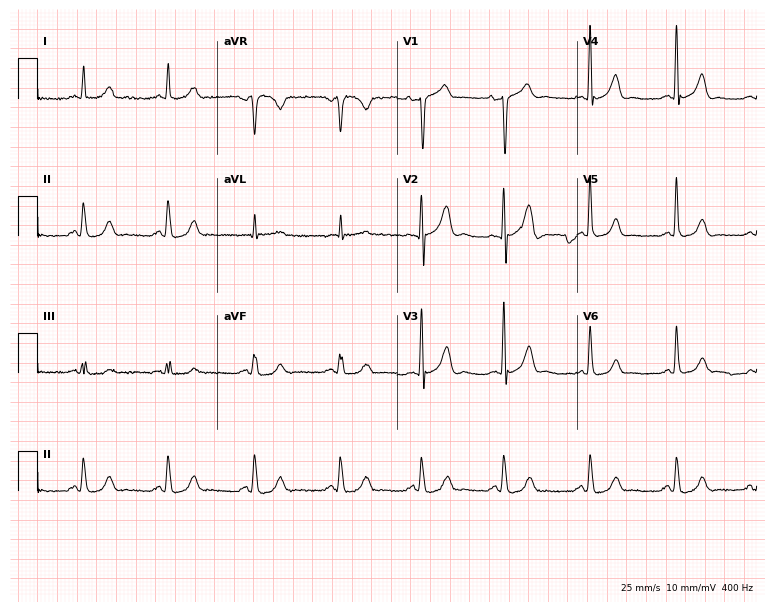
ECG — a 75-year-old male. Labelled as a normal ECG.